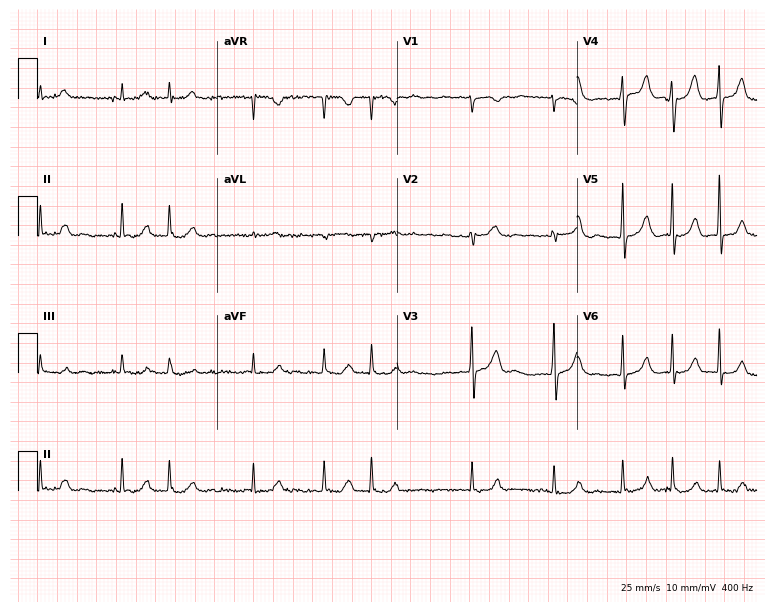
Standard 12-lead ECG recorded from an 81-year-old male patient (7.3-second recording at 400 Hz). None of these six findings is recorded: first-degree AV block, right bundle branch block (RBBB), left bundle branch block (LBBB), sinus bradycardia, atrial fibrillation (AF), sinus tachycardia.